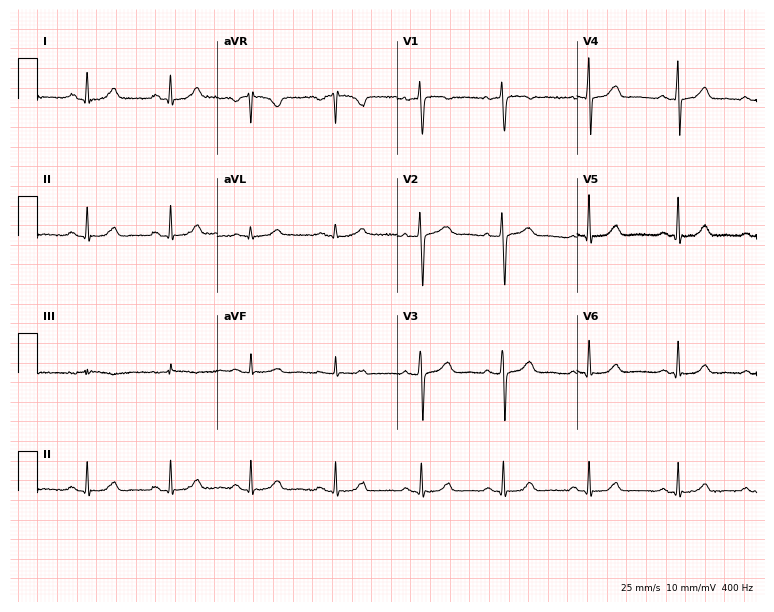
ECG — a female patient, 46 years old. Labelled as a normal ECG.